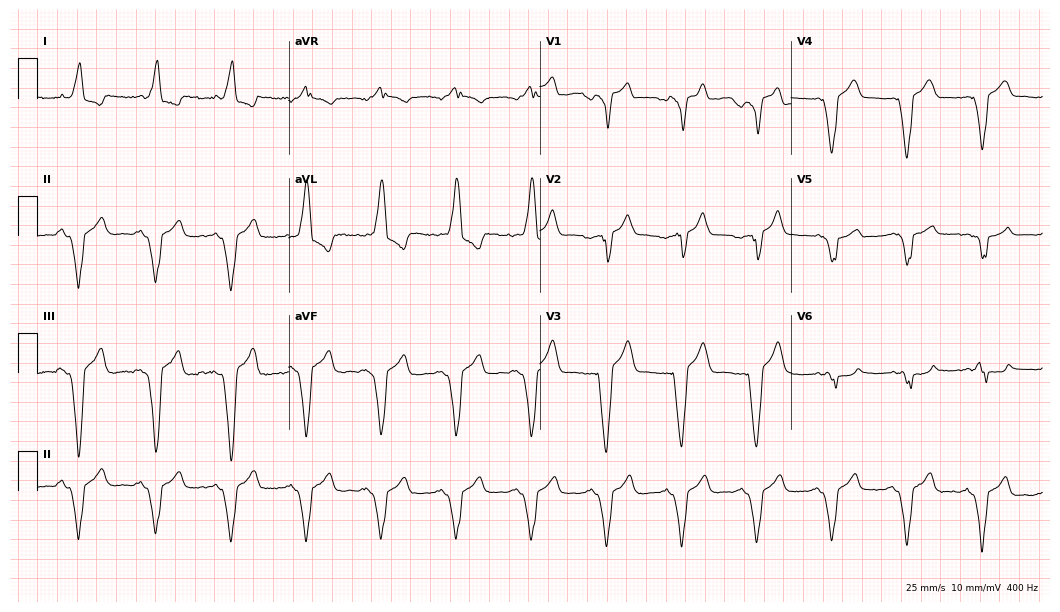
12-lead ECG from a man, 60 years old. Shows left bundle branch block.